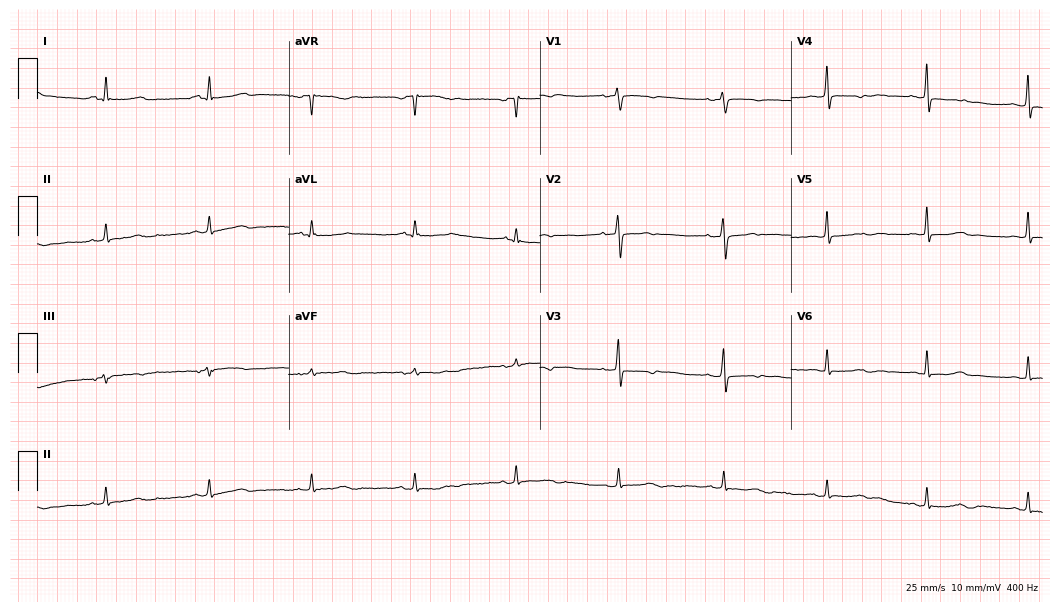
Resting 12-lead electrocardiogram. Patient: a woman, 60 years old. None of these six findings is recorded: first-degree AV block, right bundle branch block (RBBB), left bundle branch block (LBBB), sinus bradycardia, atrial fibrillation (AF), sinus tachycardia.